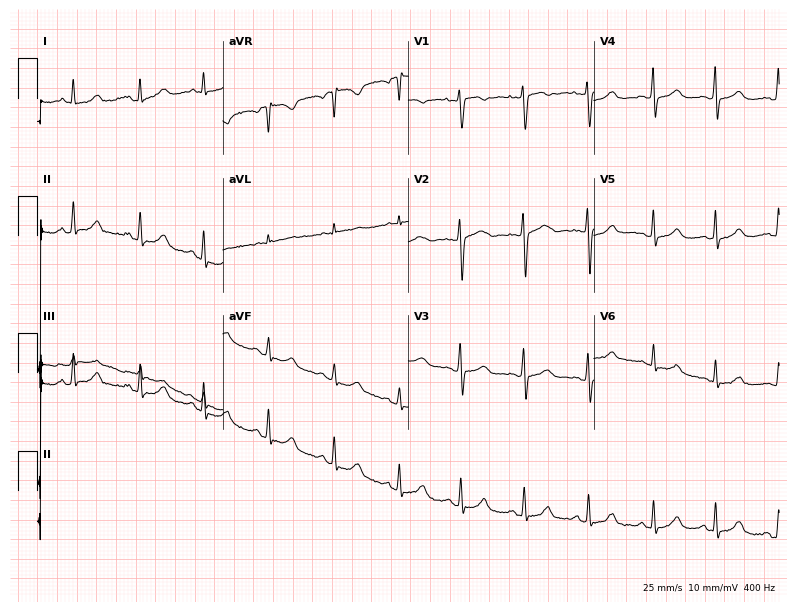
Resting 12-lead electrocardiogram (7.6-second recording at 400 Hz). Patient: a female, 26 years old. Read as a normal ECG.